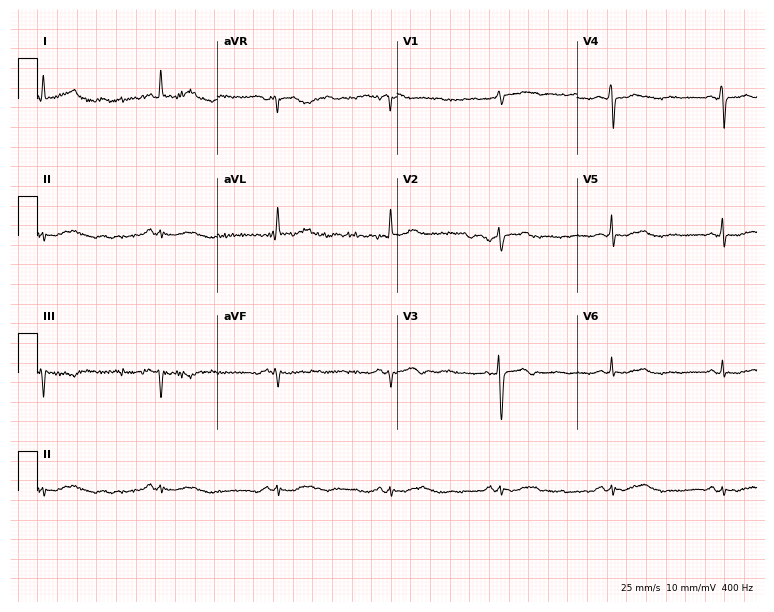
12-lead ECG from a 66-year-old female patient (7.3-second recording at 400 Hz). No first-degree AV block, right bundle branch block, left bundle branch block, sinus bradycardia, atrial fibrillation or sinus tachycardia recorded for this tracing.